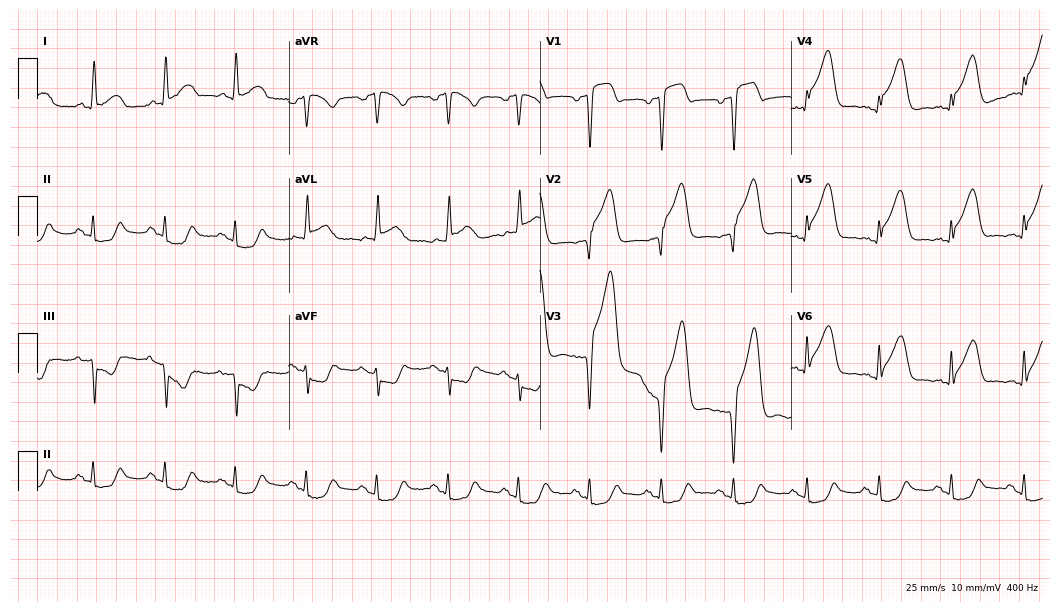
12-lead ECG (10.2-second recording at 400 Hz) from an 82-year-old female. Screened for six findings — first-degree AV block, right bundle branch block, left bundle branch block, sinus bradycardia, atrial fibrillation, sinus tachycardia — none is recorded.